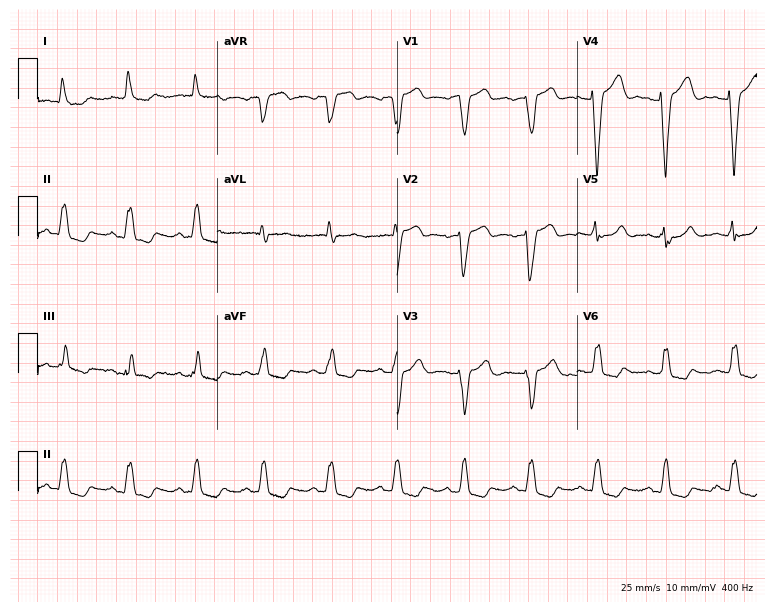
12-lead ECG from a woman, 73 years old. Findings include left bundle branch block.